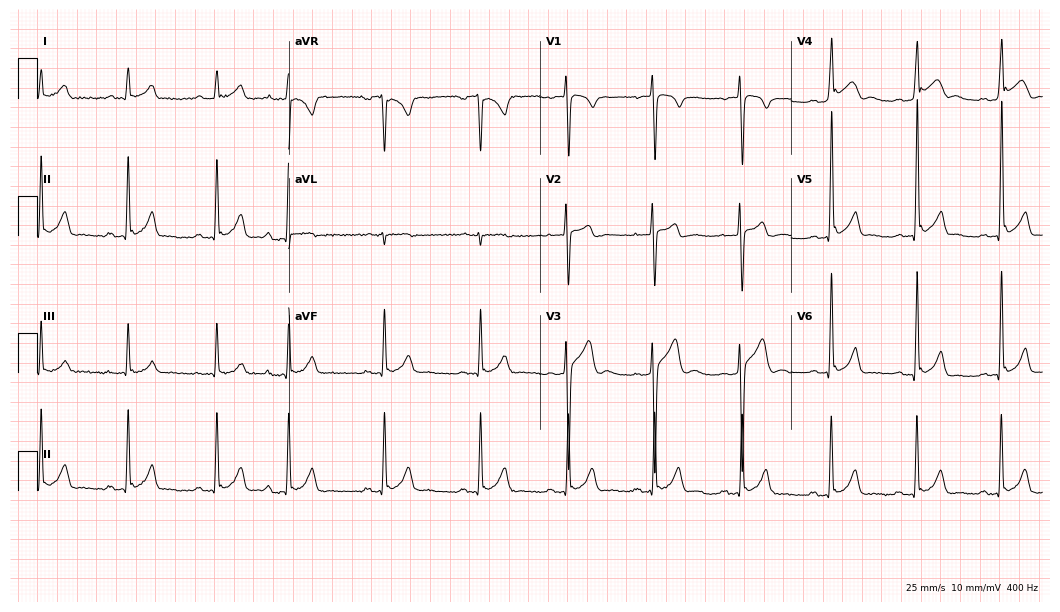
Electrocardiogram, a 23-year-old male patient. Of the six screened findings (first-degree AV block, right bundle branch block (RBBB), left bundle branch block (LBBB), sinus bradycardia, atrial fibrillation (AF), sinus tachycardia), none is recorded. Other findings, if any, are not listed.